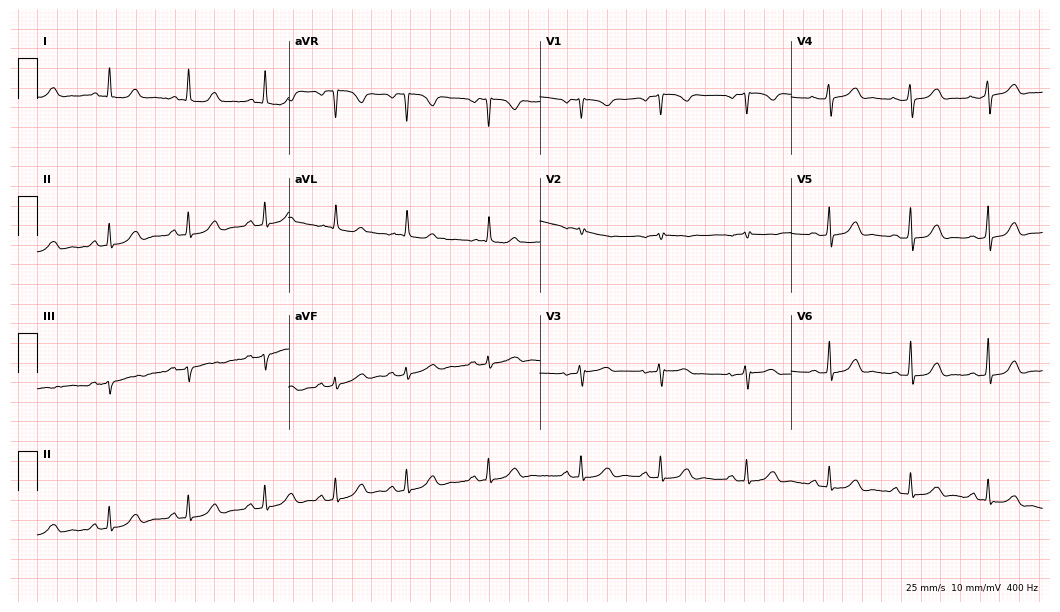
Standard 12-lead ECG recorded from a male, 71 years old. Read as a normal ECG.